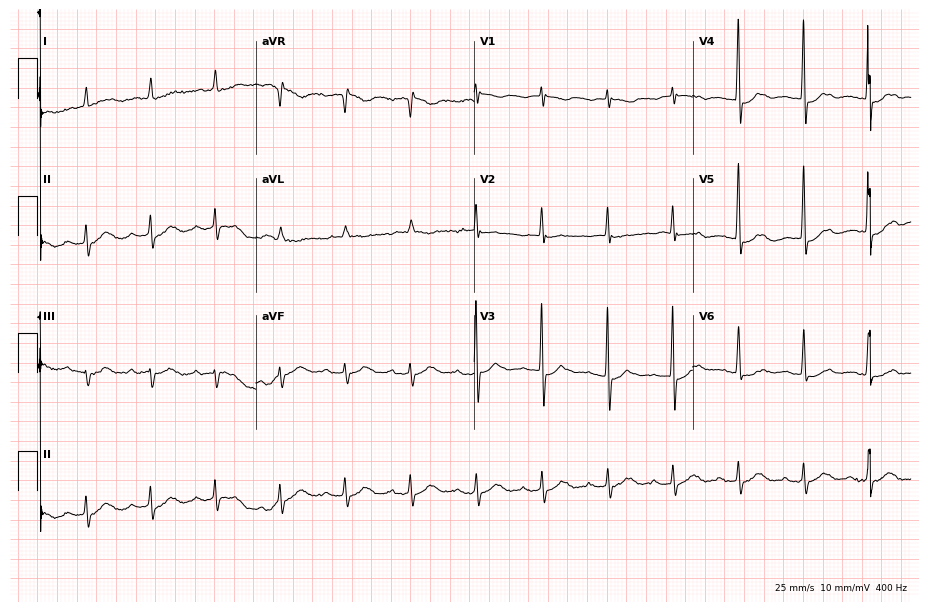
12-lead ECG from a female patient, 83 years old. Screened for six findings — first-degree AV block, right bundle branch block (RBBB), left bundle branch block (LBBB), sinus bradycardia, atrial fibrillation (AF), sinus tachycardia — none is recorded. Only these six findings were labelled.